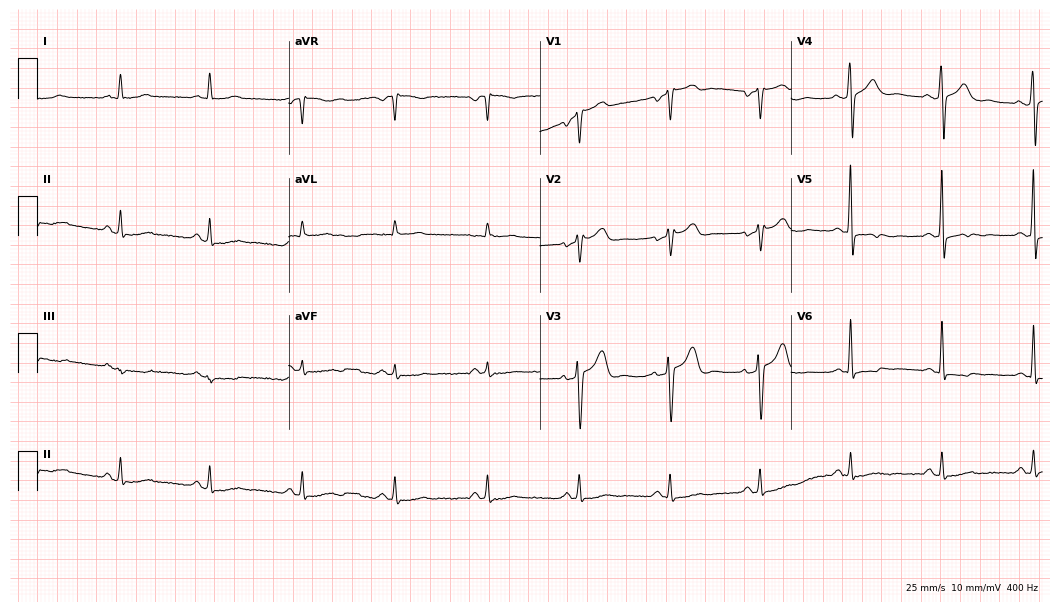
Electrocardiogram, a 54-year-old man. Of the six screened findings (first-degree AV block, right bundle branch block, left bundle branch block, sinus bradycardia, atrial fibrillation, sinus tachycardia), none is recorded. Other findings, if any, are not listed.